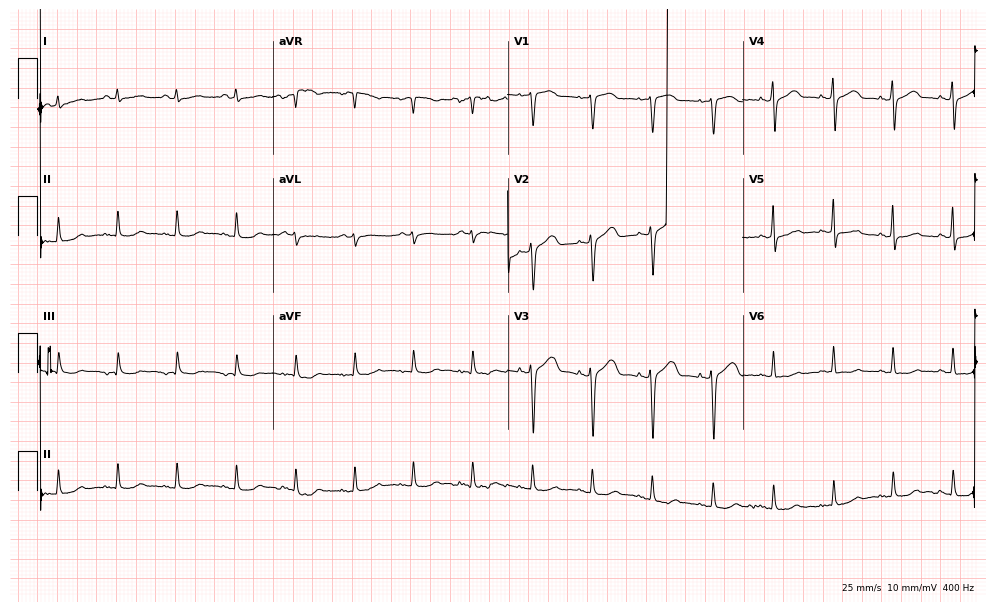
Standard 12-lead ECG recorded from a female patient, 54 years old. None of these six findings is recorded: first-degree AV block, right bundle branch block (RBBB), left bundle branch block (LBBB), sinus bradycardia, atrial fibrillation (AF), sinus tachycardia. Other findings, if any, are not listed.